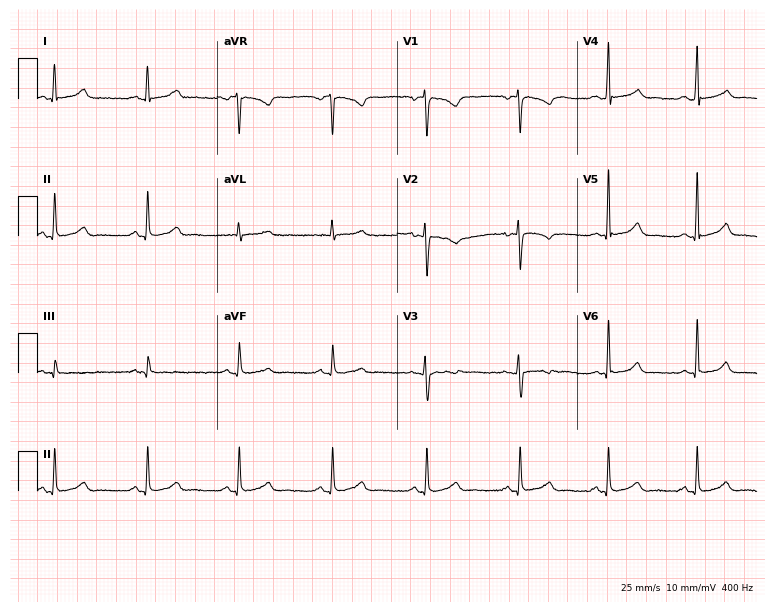
12-lead ECG from a 31-year-old woman (7.3-second recording at 400 Hz). Recorded interpretation: within normal limits.